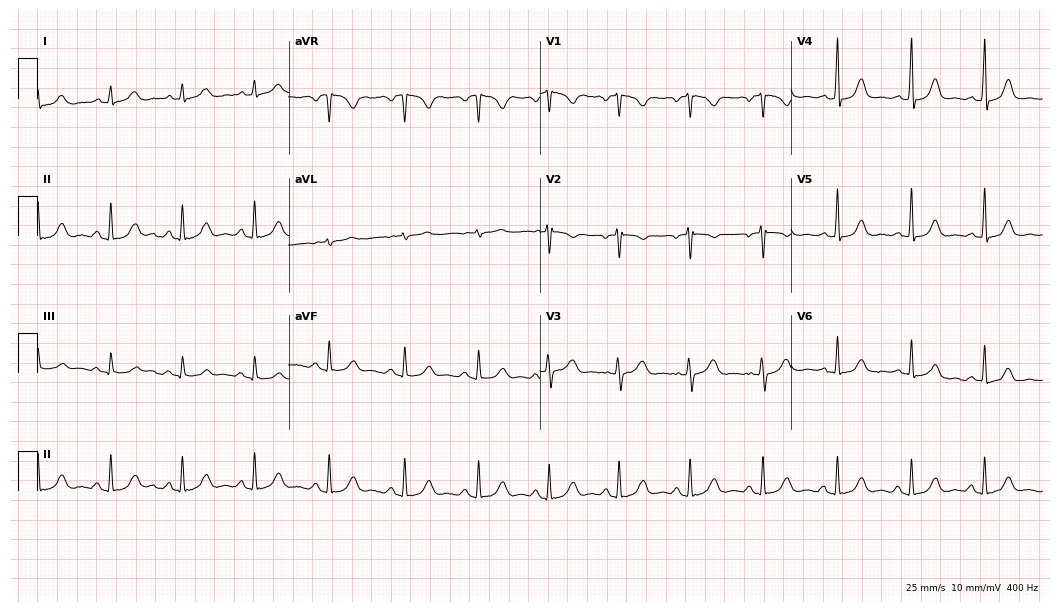
Resting 12-lead electrocardiogram. Patient: a female, 39 years old. Read as a normal ECG.